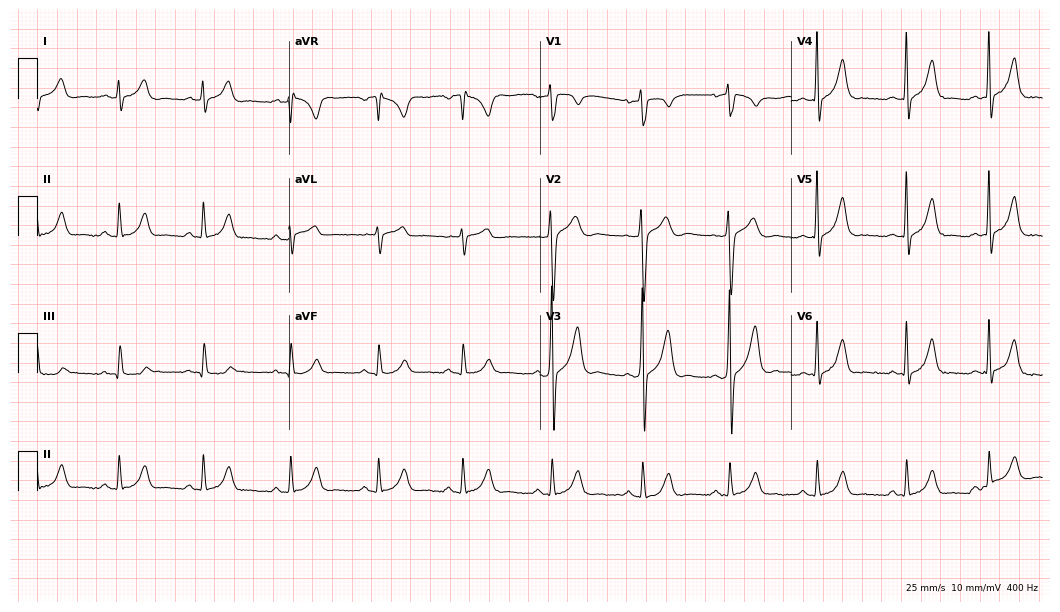
12-lead ECG from a 21-year-old male. Recorded interpretation: within normal limits.